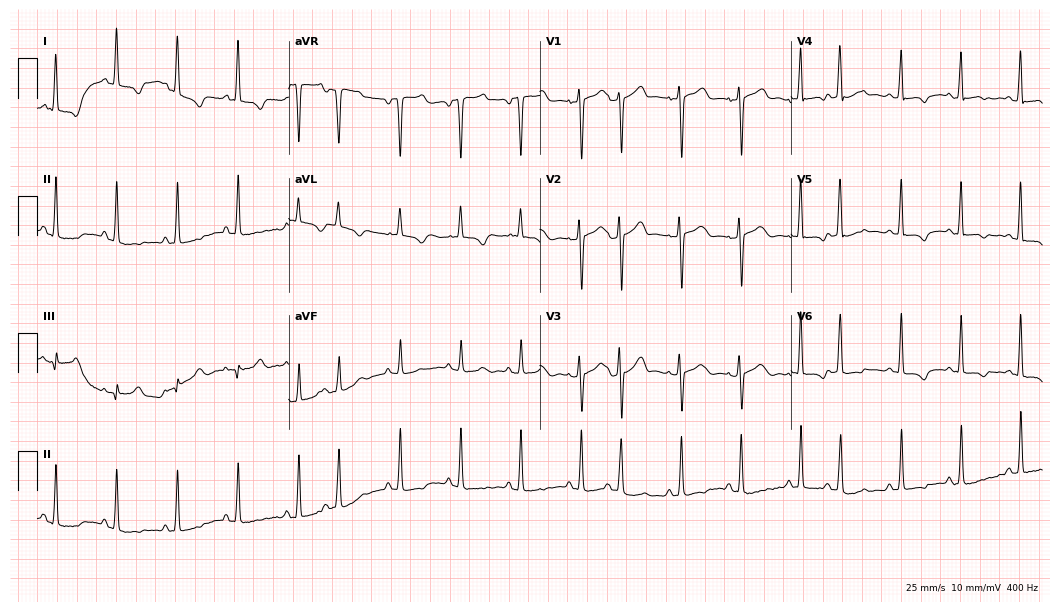
Electrocardiogram (10.2-second recording at 400 Hz), a female, 62 years old. Of the six screened findings (first-degree AV block, right bundle branch block (RBBB), left bundle branch block (LBBB), sinus bradycardia, atrial fibrillation (AF), sinus tachycardia), none is recorded. Only these six findings were labelled.